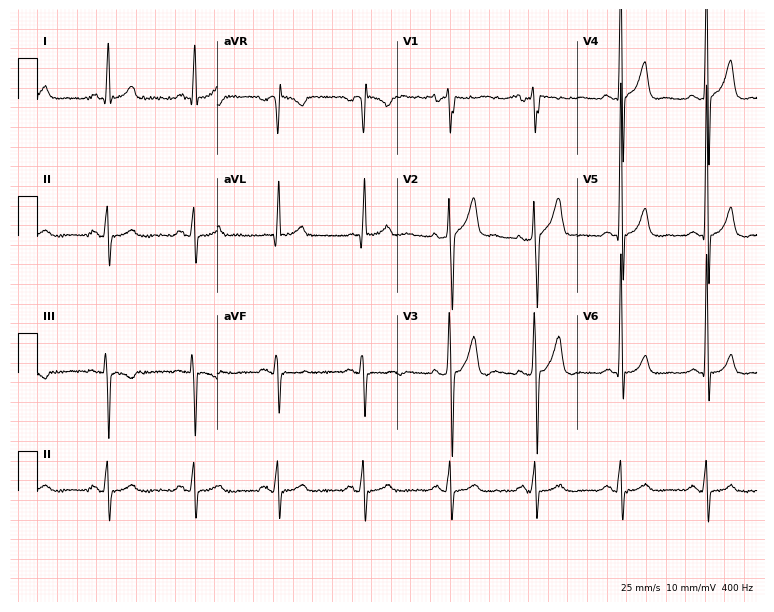
Standard 12-lead ECG recorded from a 58-year-old male patient. None of these six findings is recorded: first-degree AV block, right bundle branch block (RBBB), left bundle branch block (LBBB), sinus bradycardia, atrial fibrillation (AF), sinus tachycardia. Only these six findings were labelled.